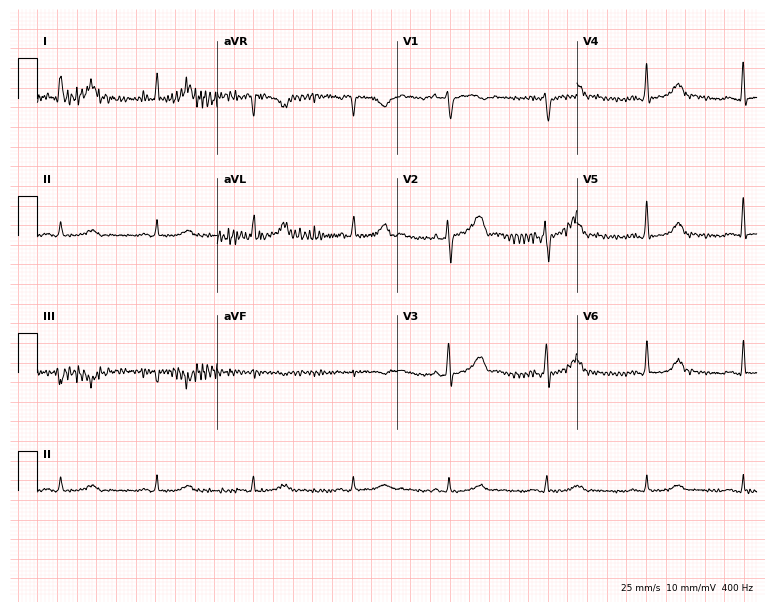
Electrocardiogram (7.3-second recording at 400 Hz), a 43-year-old female patient. Overall reading on record: normal ECG.